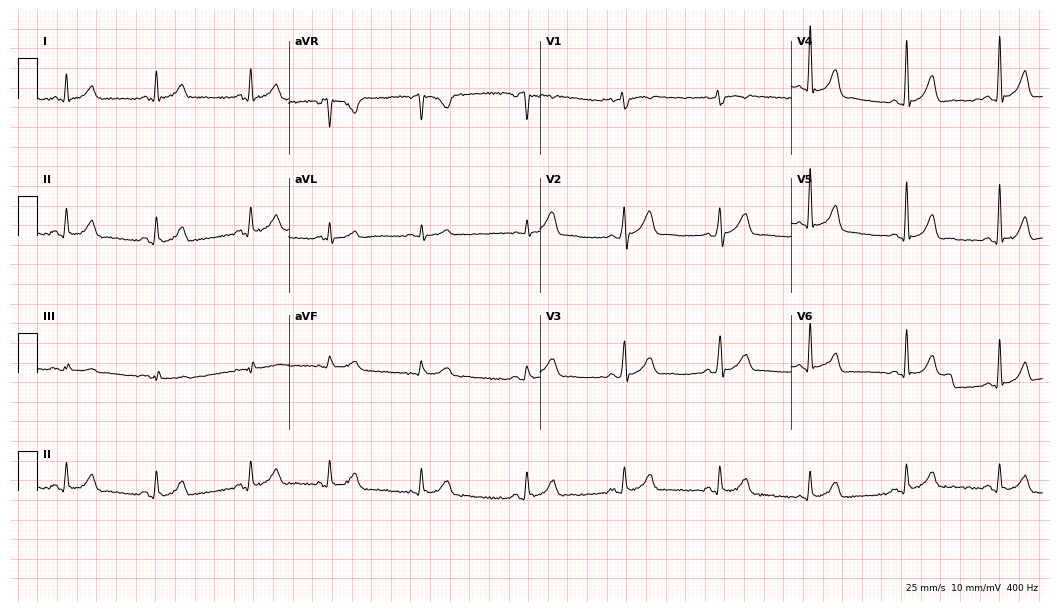
ECG — a 68-year-old male patient. Screened for six findings — first-degree AV block, right bundle branch block, left bundle branch block, sinus bradycardia, atrial fibrillation, sinus tachycardia — none is recorded.